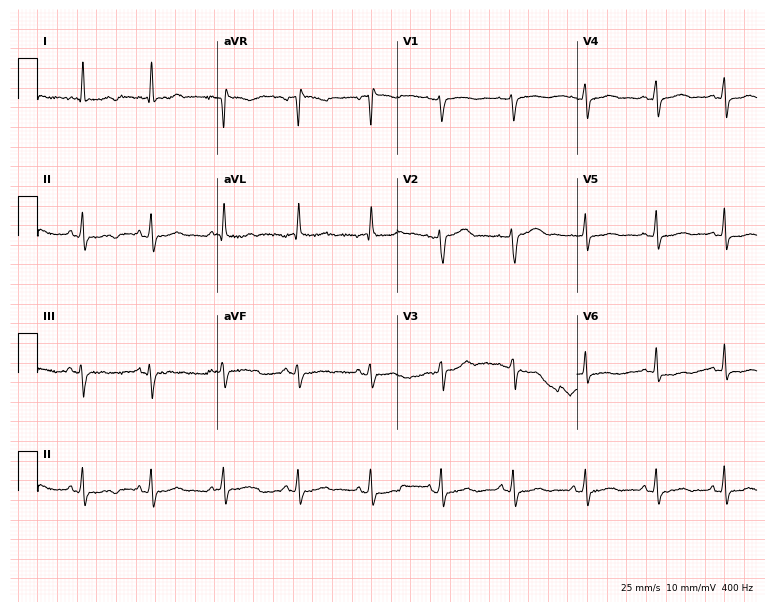
12-lead ECG from a female, 55 years old. No first-degree AV block, right bundle branch block (RBBB), left bundle branch block (LBBB), sinus bradycardia, atrial fibrillation (AF) or sinus tachycardia recorded for this tracing. Findings outside these six are not listed.